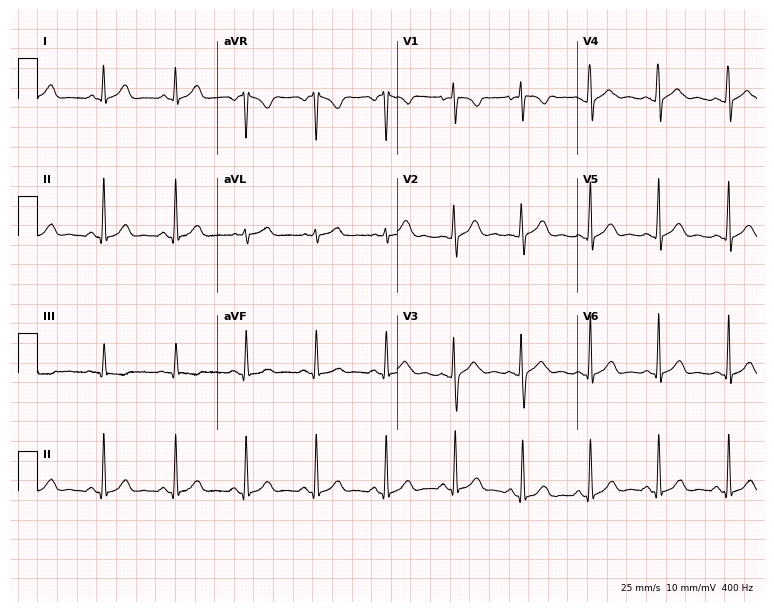
Resting 12-lead electrocardiogram. Patient: a 29-year-old woman. Read as a normal ECG.